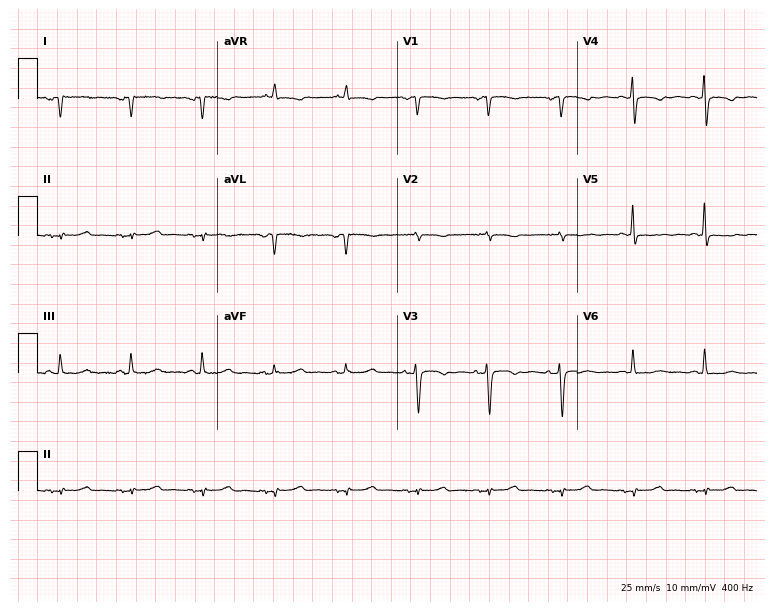
Electrocardiogram (7.3-second recording at 400 Hz), a 67-year-old woman. Of the six screened findings (first-degree AV block, right bundle branch block, left bundle branch block, sinus bradycardia, atrial fibrillation, sinus tachycardia), none is recorded.